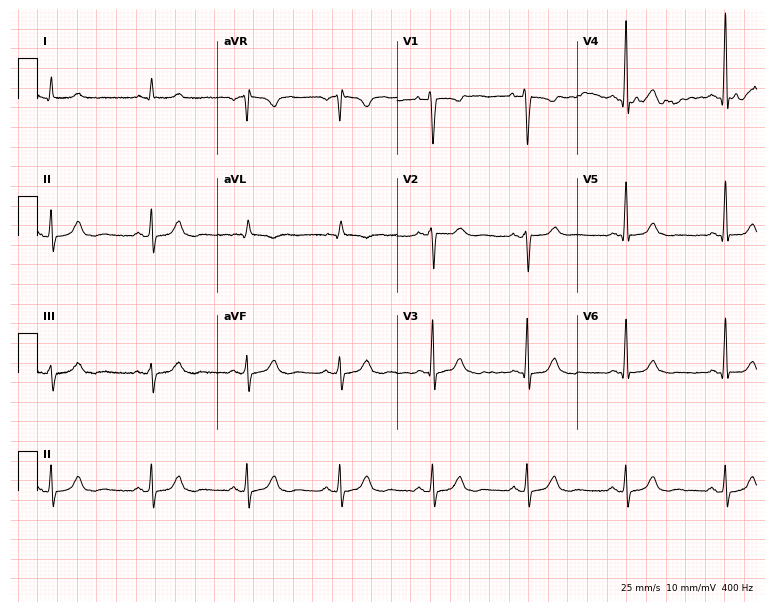
12-lead ECG from a 66-year-old man. No first-degree AV block, right bundle branch block, left bundle branch block, sinus bradycardia, atrial fibrillation or sinus tachycardia recorded for this tracing.